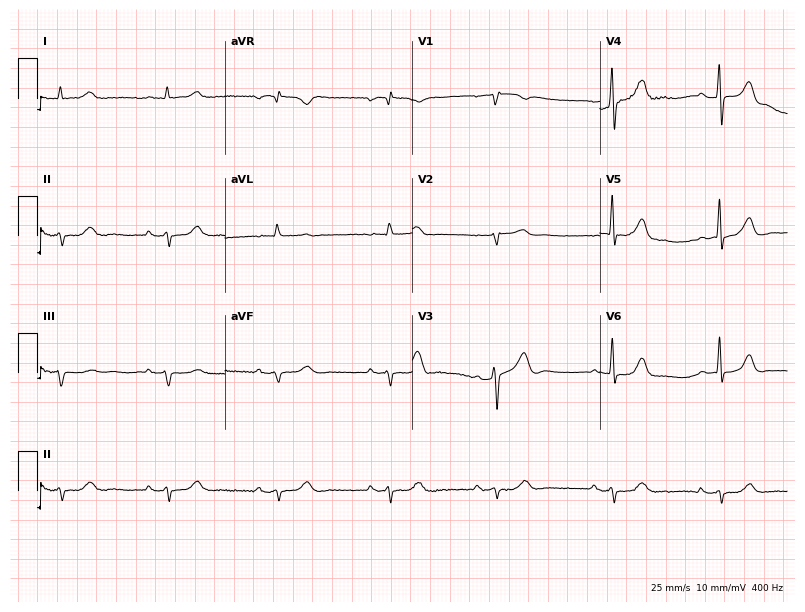
12-lead ECG (7.6-second recording at 400 Hz) from an 81-year-old man. Screened for six findings — first-degree AV block, right bundle branch block, left bundle branch block, sinus bradycardia, atrial fibrillation, sinus tachycardia — none is recorded. Only these six findings were labelled.